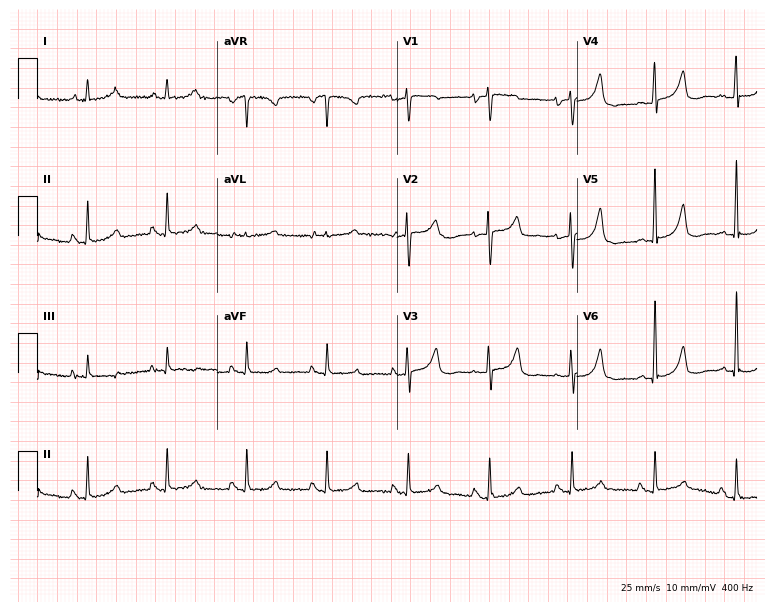
ECG (7.3-second recording at 400 Hz) — a 57-year-old woman. Labelled as a normal ECG.